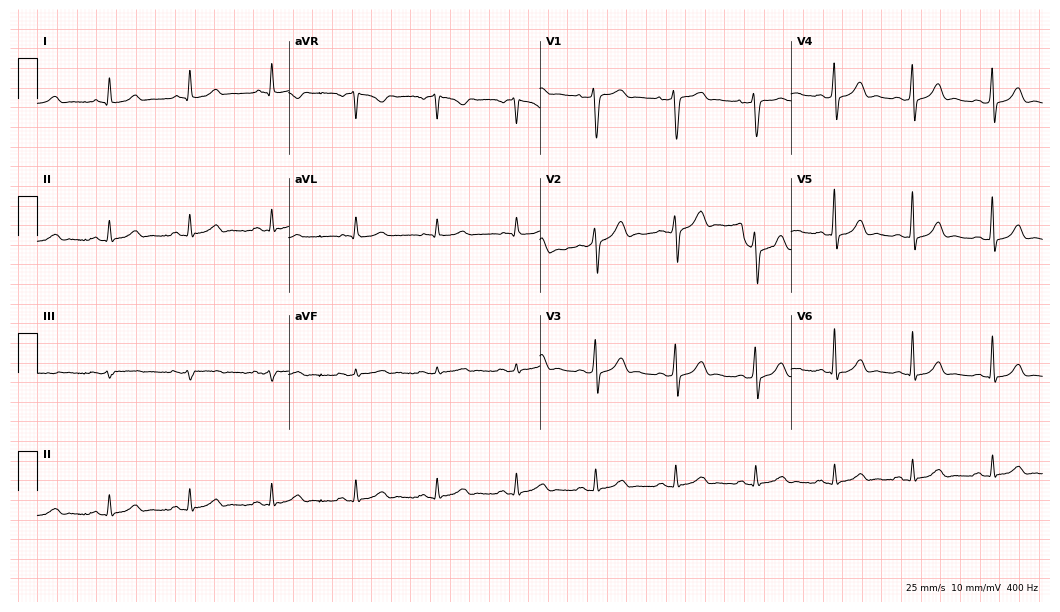
Resting 12-lead electrocardiogram (10.2-second recording at 400 Hz). Patient: a man, 36 years old. Read as a normal ECG.